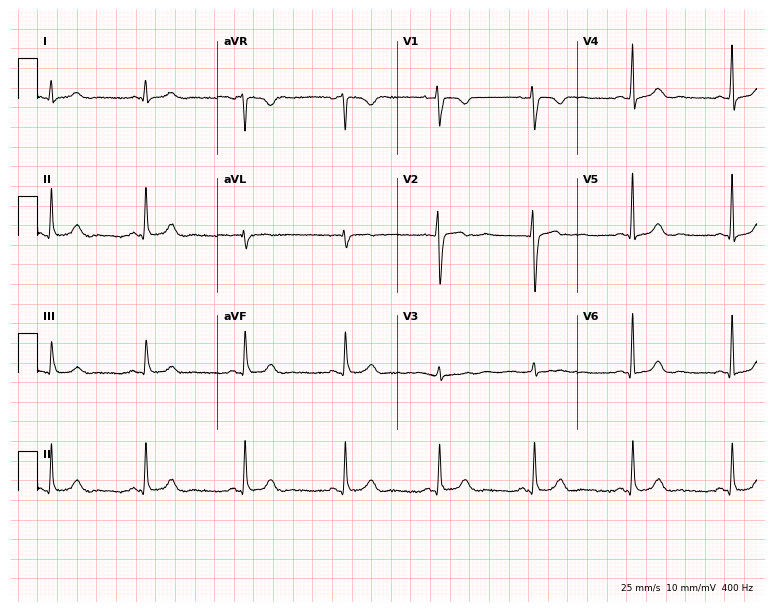
ECG — a 30-year-old woman. Labelled as a normal ECG.